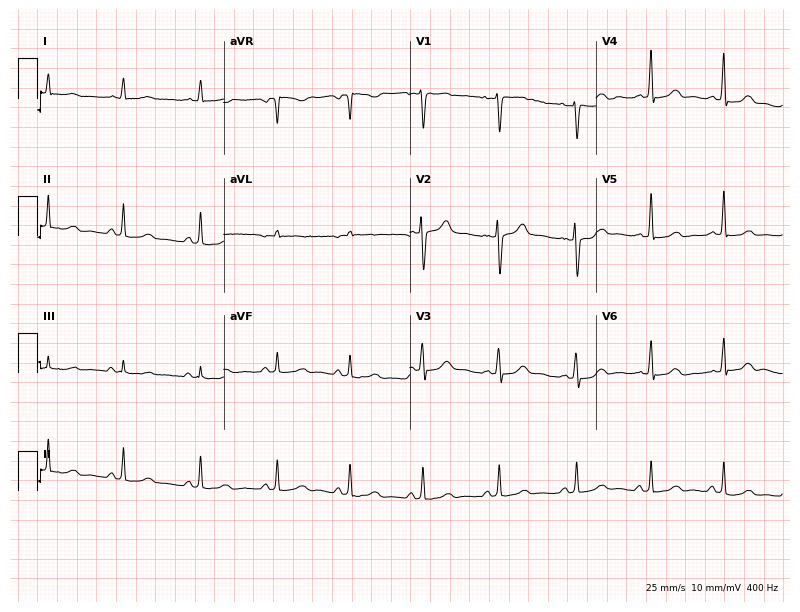
12-lead ECG from a woman, 33 years old. Screened for six findings — first-degree AV block, right bundle branch block (RBBB), left bundle branch block (LBBB), sinus bradycardia, atrial fibrillation (AF), sinus tachycardia — none is recorded. Other findings, if any, are not listed.